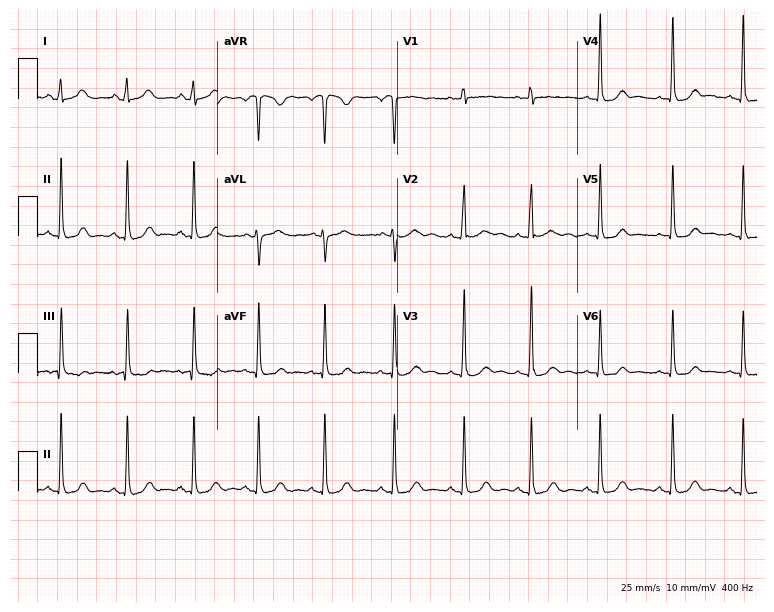
12-lead ECG from a 17-year-old female patient. Recorded interpretation: within normal limits.